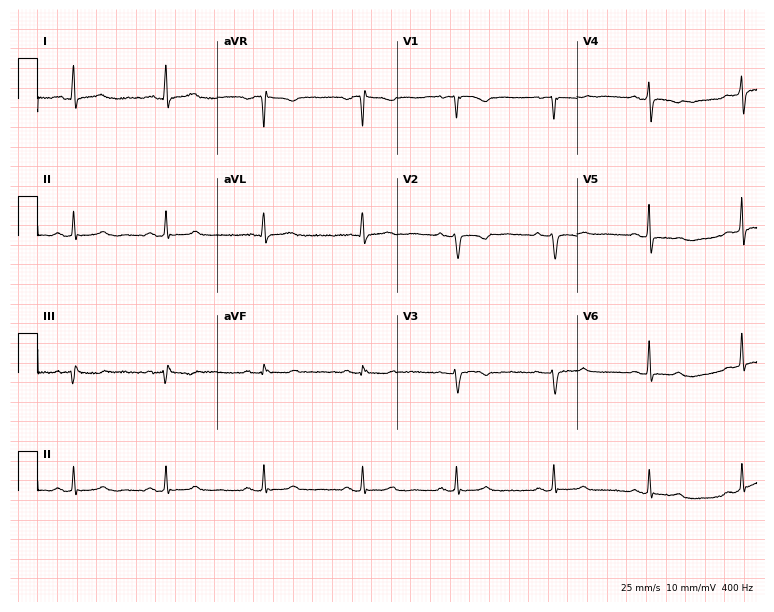
Resting 12-lead electrocardiogram (7.3-second recording at 400 Hz). Patient: a female, 50 years old. None of these six findings is recorded: first-degree AV block, right bundle branch block, left bundle branch block, sinus bradycardia, atrial fibrillation, sinus tachycardia. Findings outside these six are not listed.